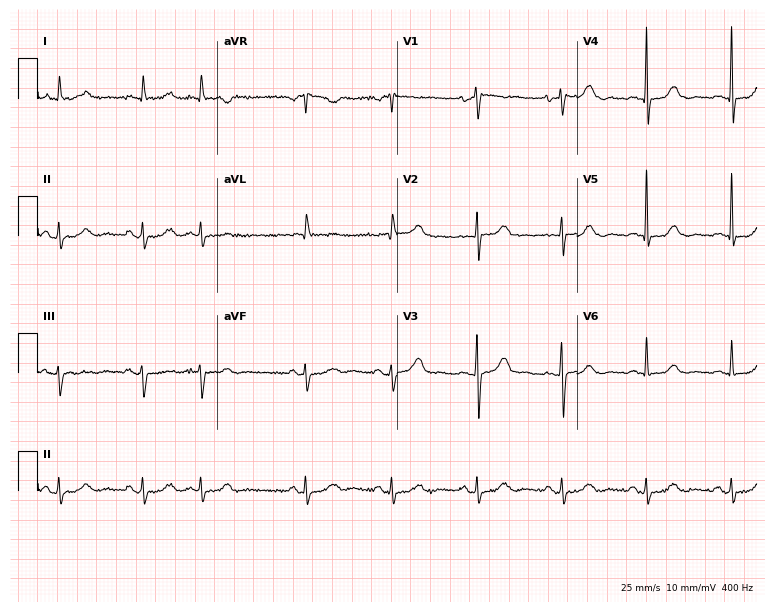
12-lead ECG (7.3-second recording at 400 Hz) from a female, 81 years old. Labelled as a normal ECG.